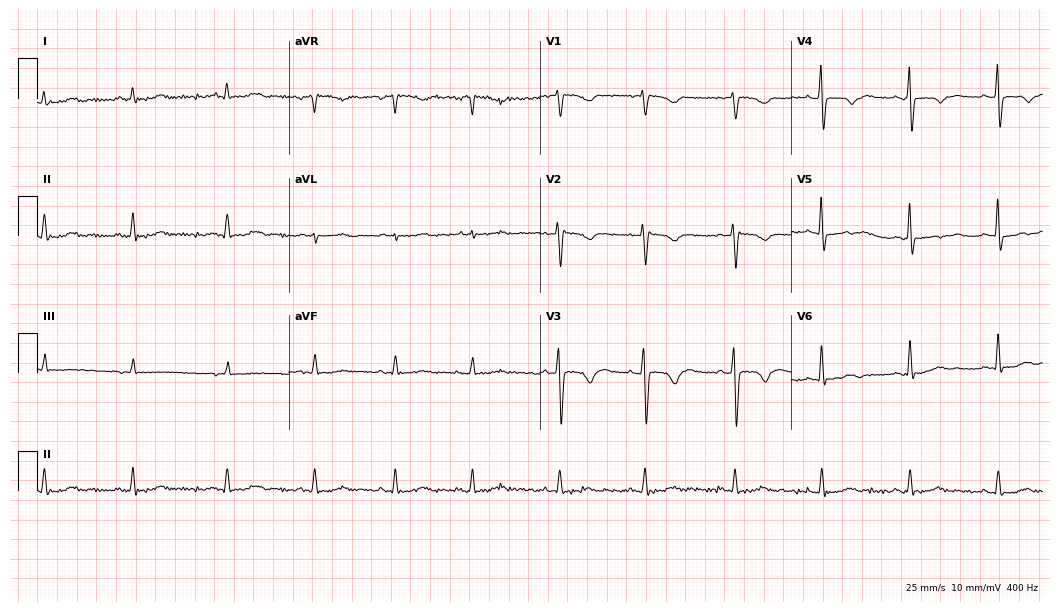
Electrocardiogram, a male, 40 years old. Of the six screened findings (first-degree AV block, right bundle branch block, left bundle branch block, sinus bradycardia, atrial fibrillation, sinus tachycardia), none is recorded. Findings outside these six are not listed.